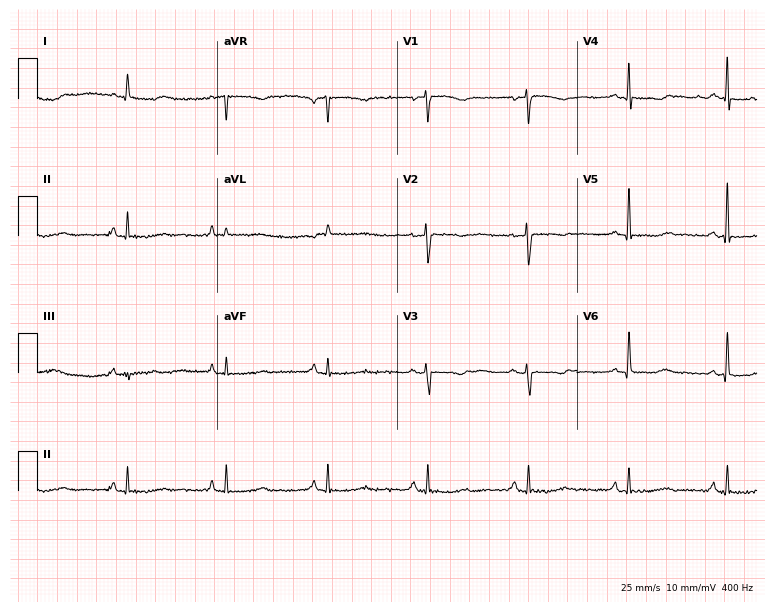
Standard 12-lead ECG recorded from a 77-year-old woman. None of these six findings is recorded: first-degree AV block, right bundle branch block, left bundle branch block, sinus bradycardia, atrial fibrillation, sinus tachycardia. Findings outside these six are not listed.